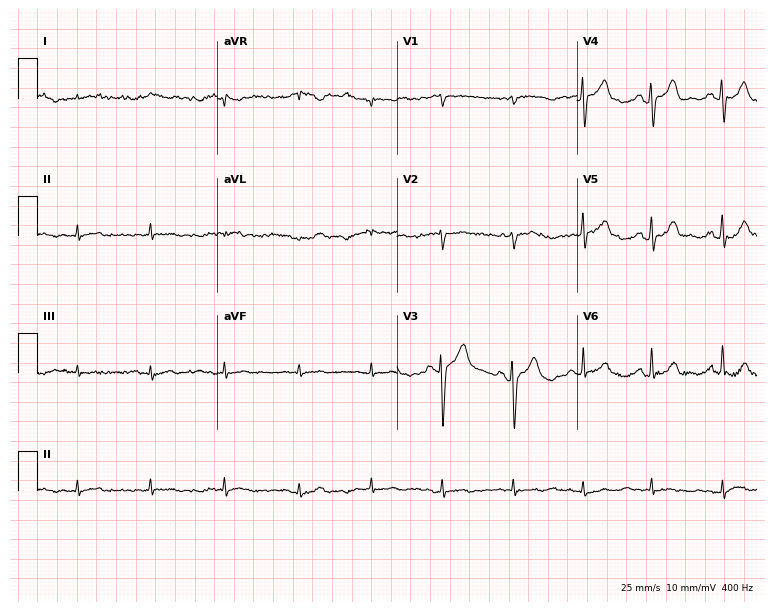
Standard 12-lead ECG recorded from a male, 84 years old. Read as a normal ECG.